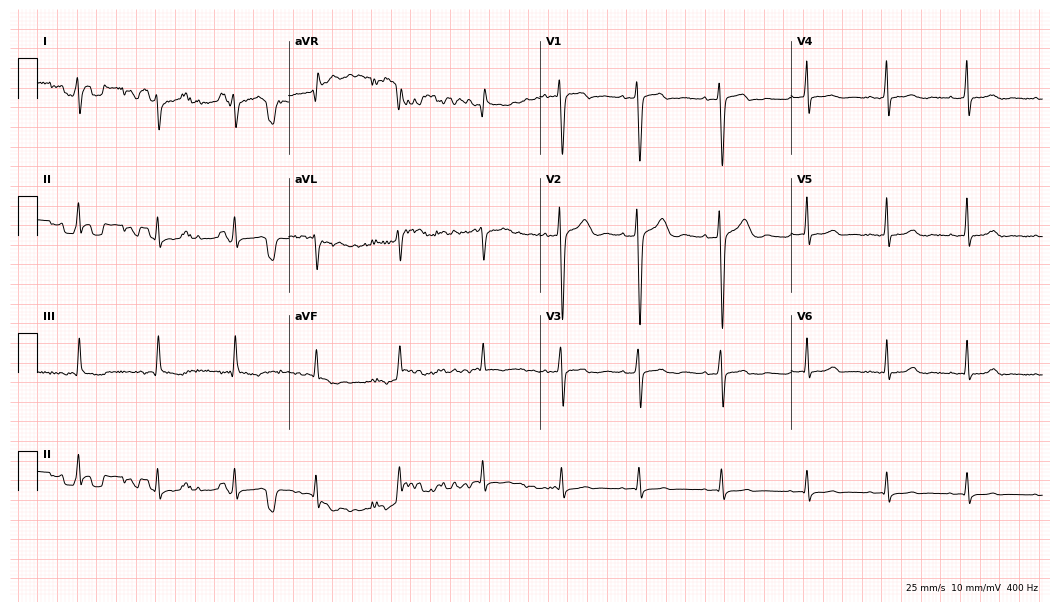
12-lead ECG from a 26-year-old female. Screened for six findings — first-degree AV block, right bundle branch block, left bundle branch block, sinus bradycardia, atrial fibrillation, sinus tachycardia — none is recorded. Findings outside these six are not listed.